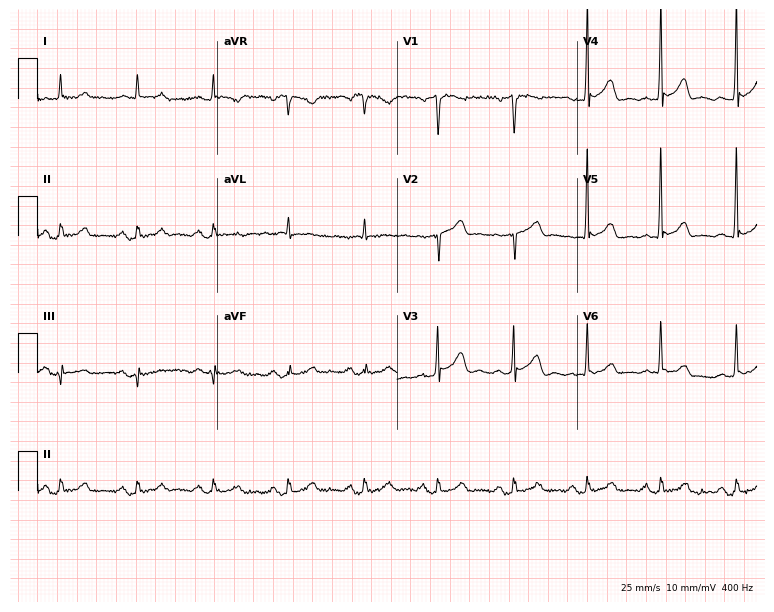
12-lead ECG from a 62-year-old male patient. Labelled as a normal ECG.